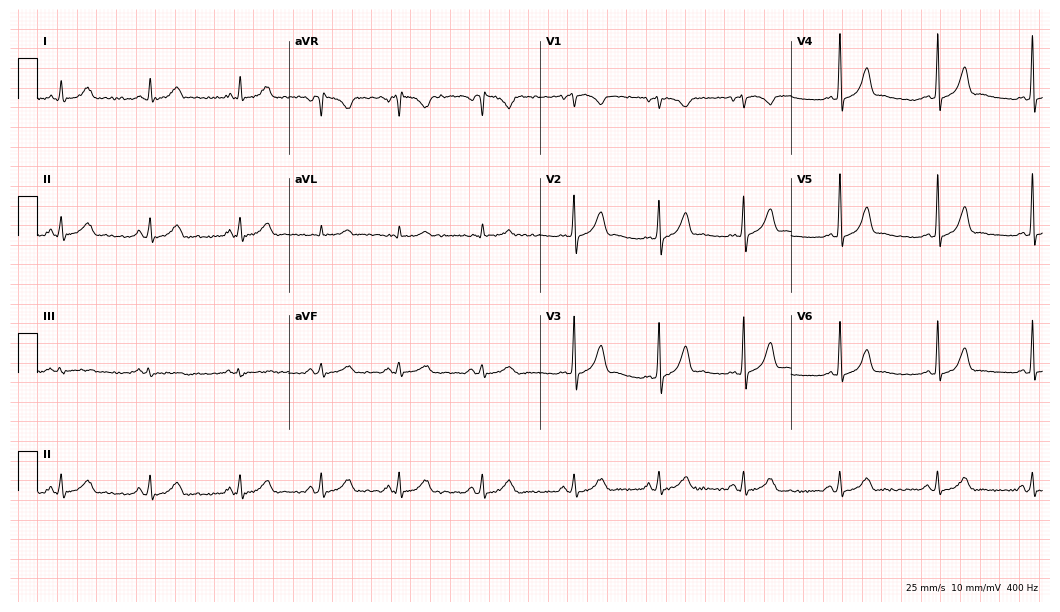
Electrocardiogram (10.2-second recording at 400 Hz), a female patient, 31 years old. Overall reading on record: normal ECG.